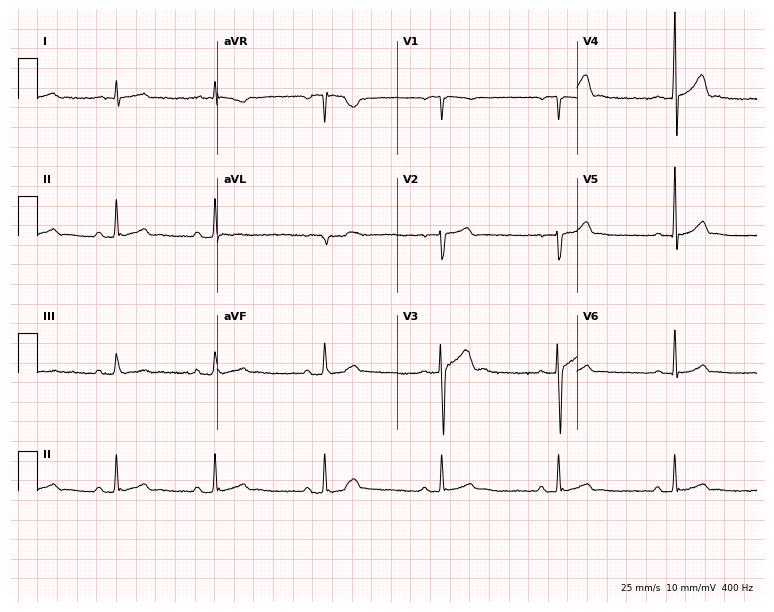
12-lead ECG from a male patient, 26 years old. Labelled as a normal ECG.